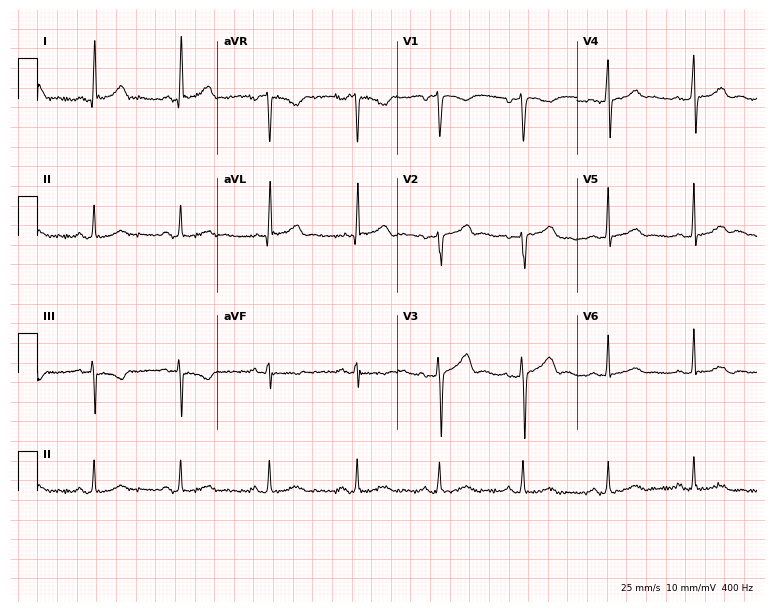
Electrocardiogram (7.3-second recording at 400 Hz), a woman, 32 years old. Overall reading on record: normal ECG.